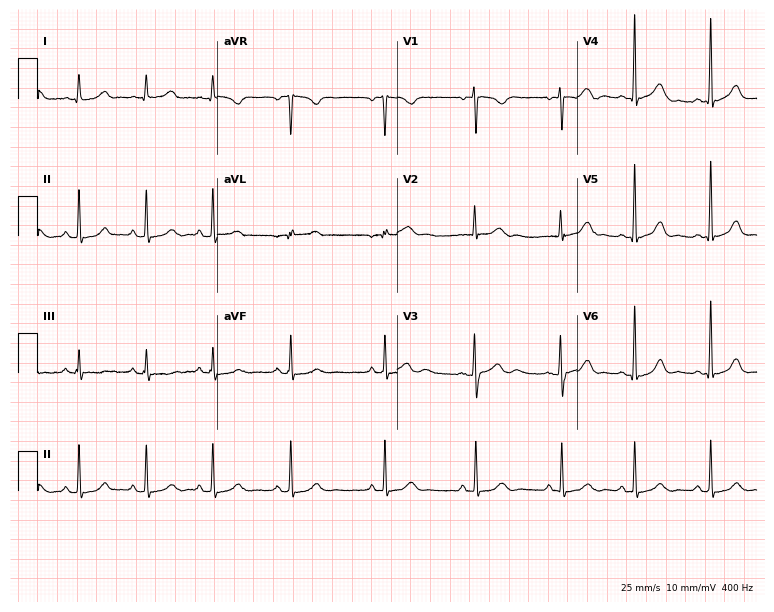
Standard 12-lead ECG recorded from a woman, 21 years old. Read as a normal ECG.